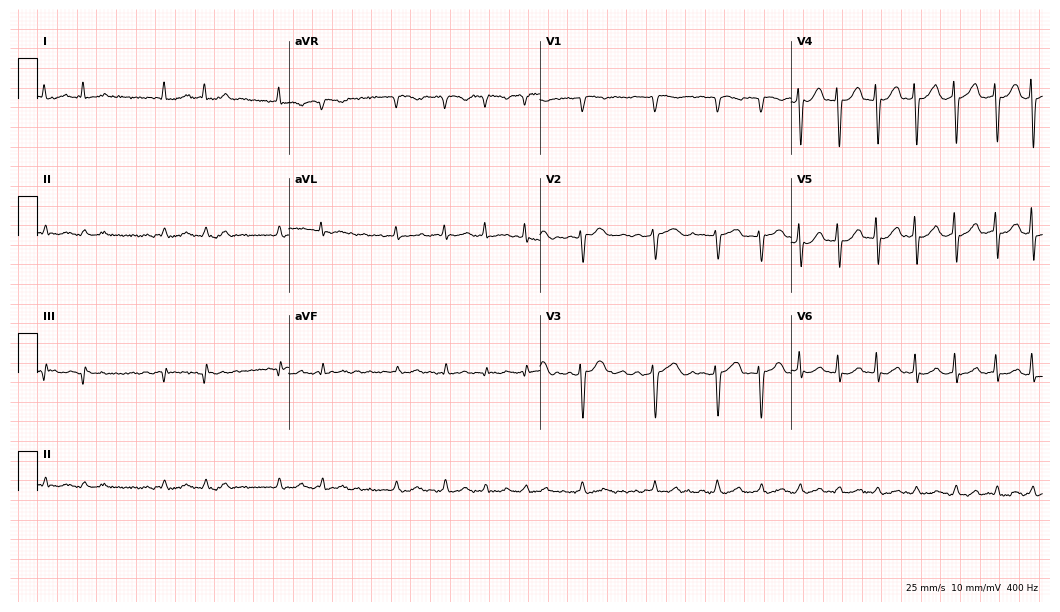
Electrocardiogram, a female, 80 years old. Interpretation includes atrial fibrillation.